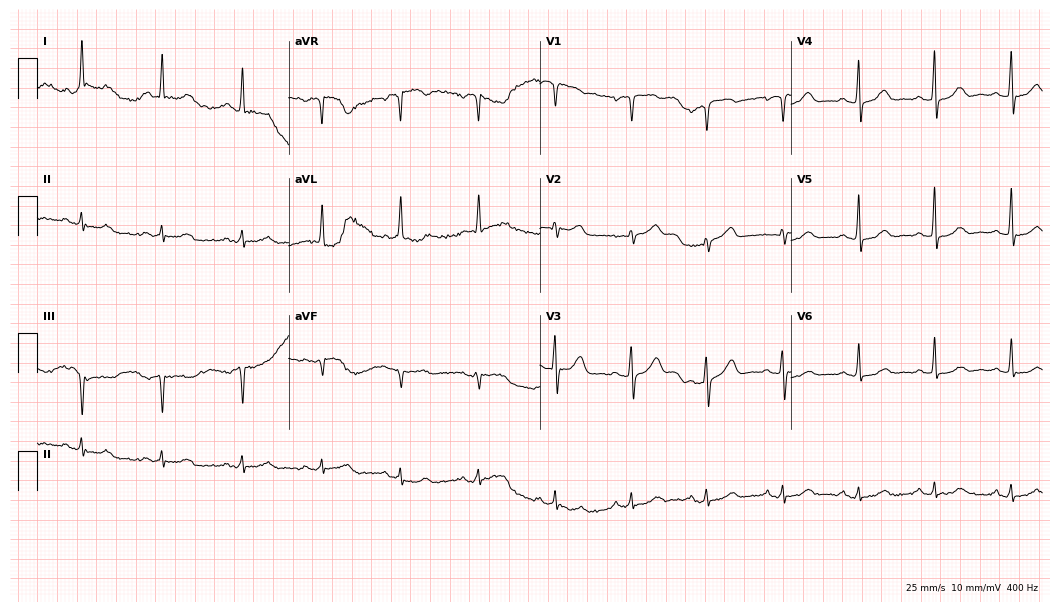
ECG — a female, 73 years old. Labelled as a normal ECG.